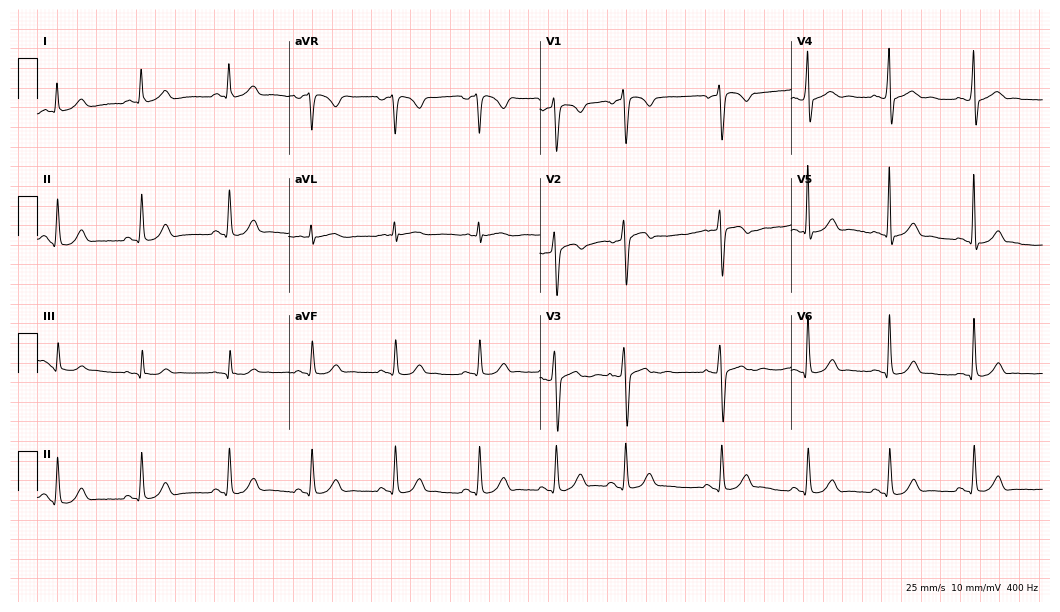
Electrocardiogram, a man, 25 years old. Overall reading on record: normal ECG.